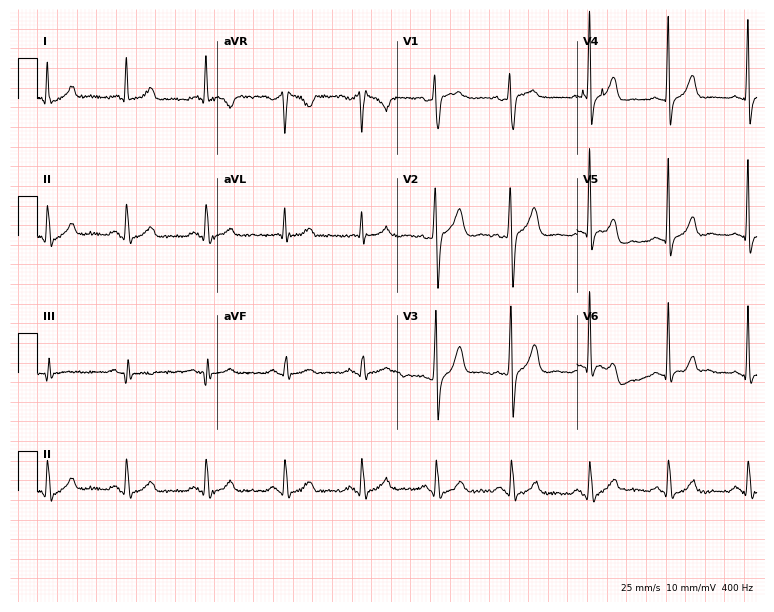
12-lead ECG (7.3-second recording at 400 Hz) from a male, 47 years old. Labelled as a normal ECG.